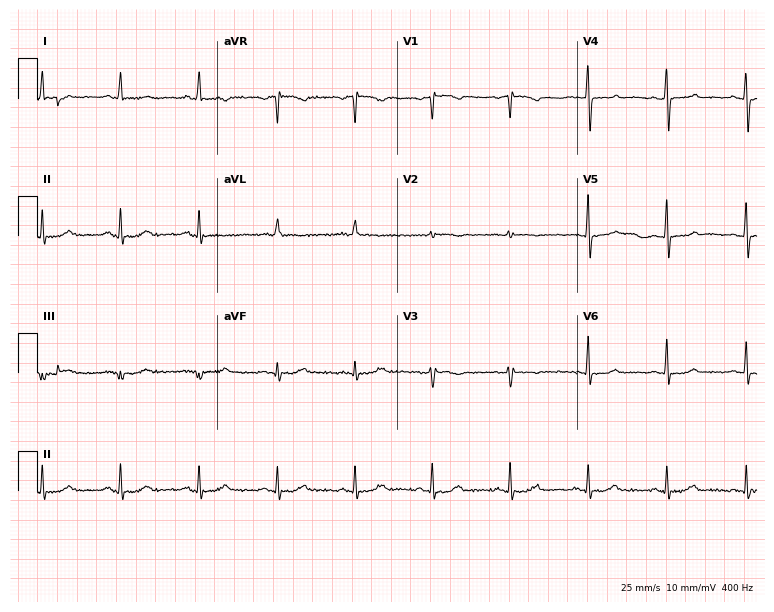
Standard 12-lead ECG recorded from a 59-year-old woman (7.3-second recording at 400 Hz). None of these six findings is recorded: first-degree AV block, right bundle branch block (RBBB), left bundle branch block (LBBB), sinus bradycardia, atrial fibrillation (AF), sinus tachycardia.